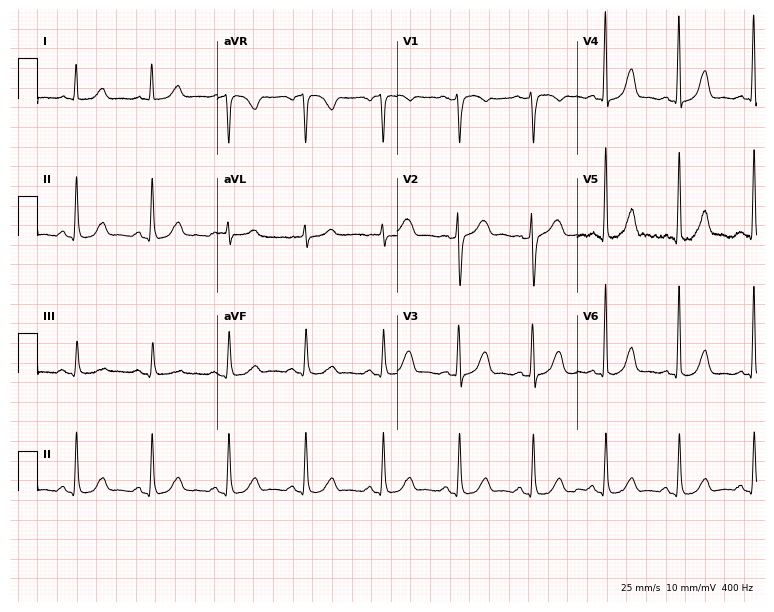
ECG (7.3-second recording at 400 Hz) — a 65-year-old female patient. Labelled as a normal ECG.